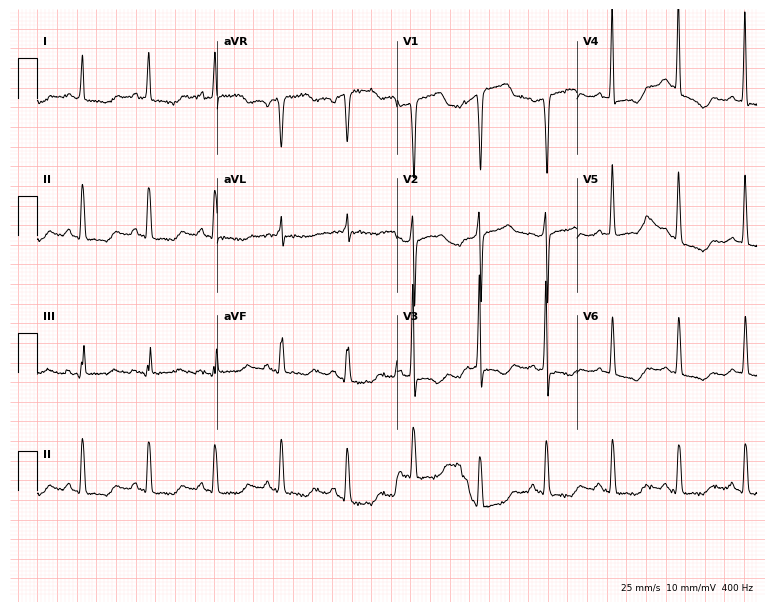
12-lead ECG (7.3-second recording at 400 Hz) from a 72-year-old woman. Labelled as a normal ECG.